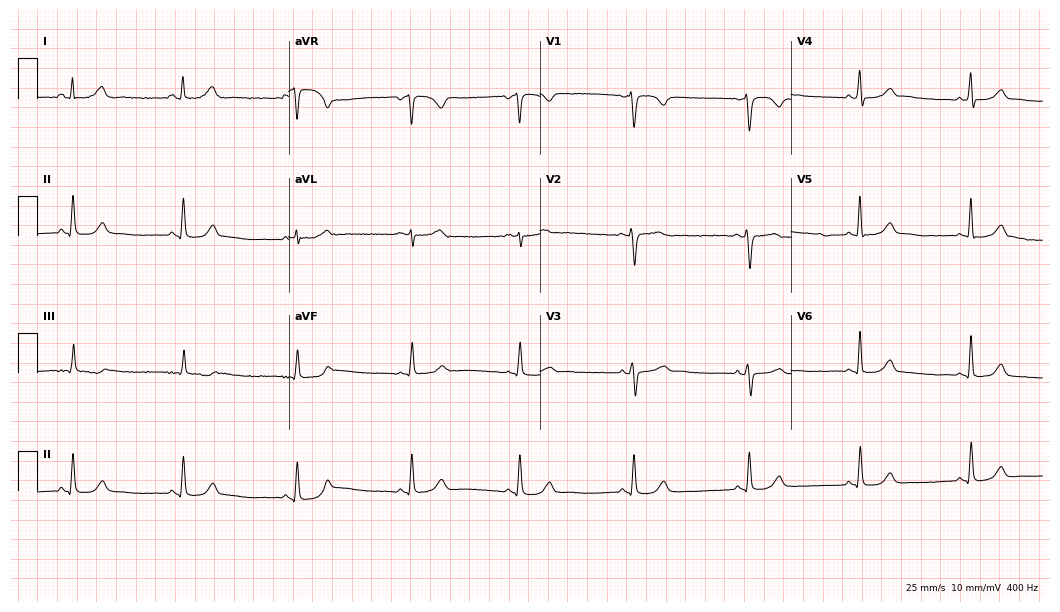
Resting 12-lead electrocardiogram. Patient: a female, 42 years old. None of these six findings is recorded: first-degree AV block, right bundle branch block, left bundle branch block, sinus bradycardia, atrial fibrillation, sinus tachycardia.